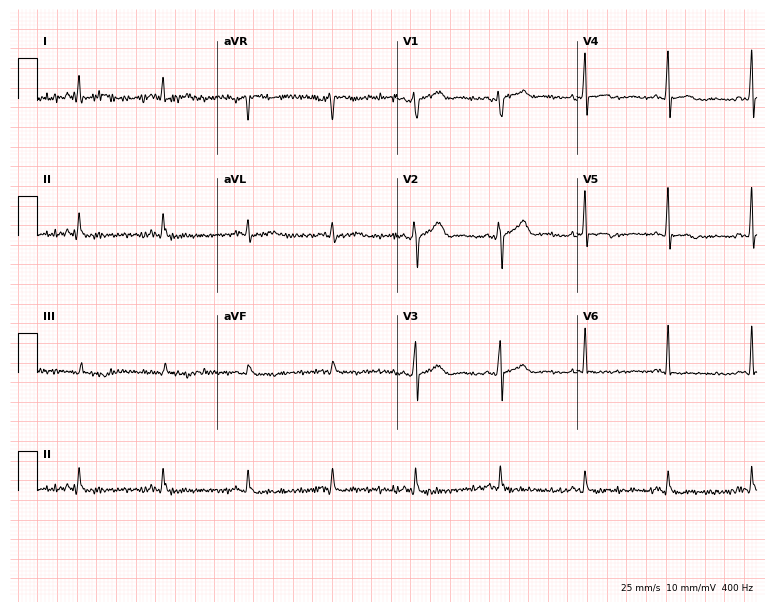
Standard 12-lead ECG recorded from a man, 48 years old (7.3-second recording at 400 Hz). None of these six findings is recorded: first-degree AV block, right bundle branch block (RBBB), left bundle branch block (LBBB), sinus bradycardia, atrial fibrillation (AF), sinus tachycardia.